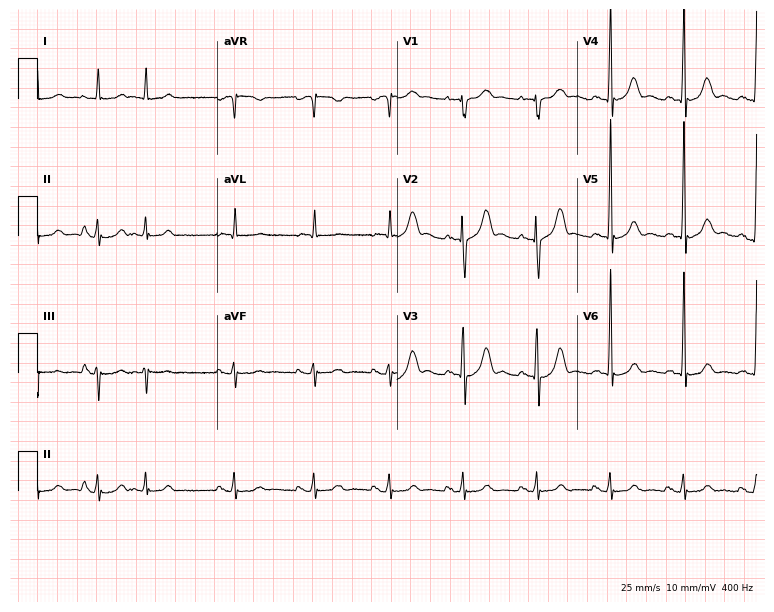
Electrocardiogram (7.3-second recording at 400 Hz), a 76-year-old man. Of the six screened findings (first-degree AV block, right bundle branch block, left bundle branch block, sinus bradycardia, atrial fibrillation, sinus tachycardia), none is recorded.